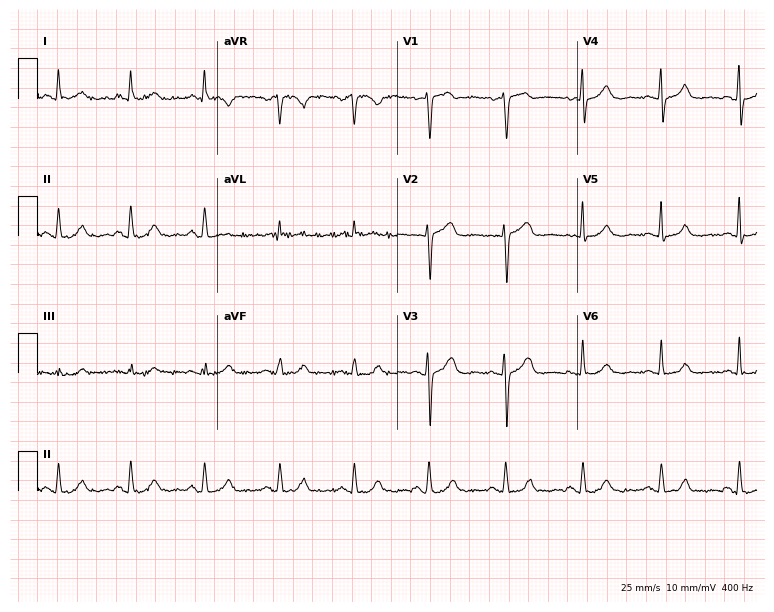
Standard 12-lead ECG recorded from a woman, 54 years old. None of these six findings is recorded: first-degree AV block, right bundle branch block, left bundle branch block, sinus bradycardia, atrial fibrillation, sinus tachycardia.